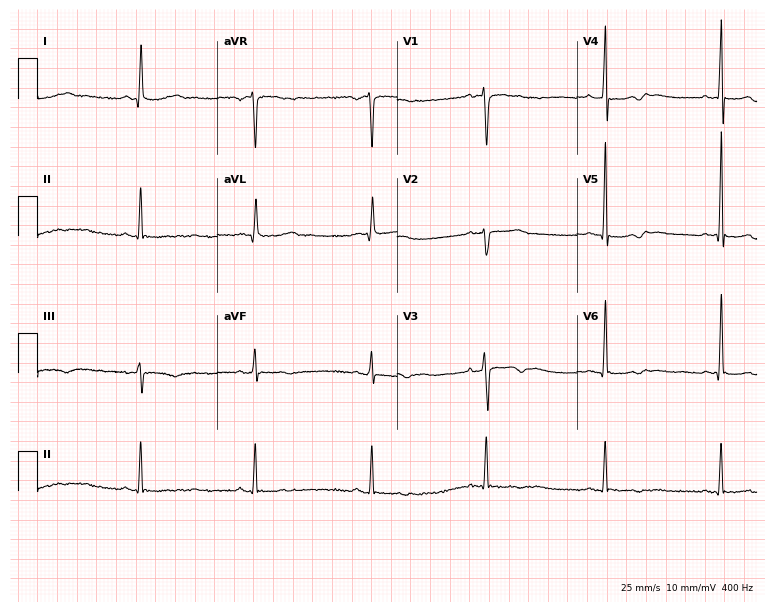
Resting 12-lead electrocardiogram. Patient: a 46-year-old female. The tracing shows sinus bradycardia (a sinus rate of 50 beats per minute or less).